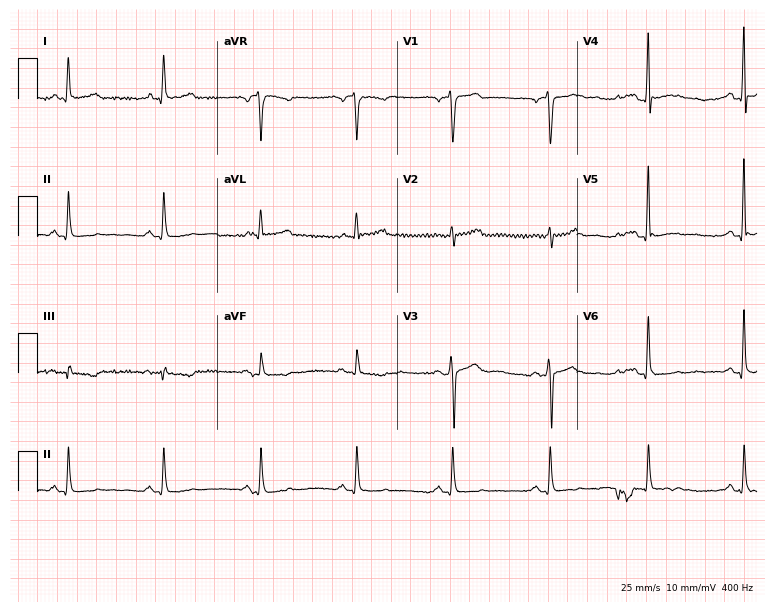
ECG (7.3-second recording at 400 Hz) — a 51-year-old man. Screened for six findings — first-degree AV block, right bundle branch block, left bundle branch block, sinus bradycardia, atrial fibrillation, sinus tachycardia — none is recorded.